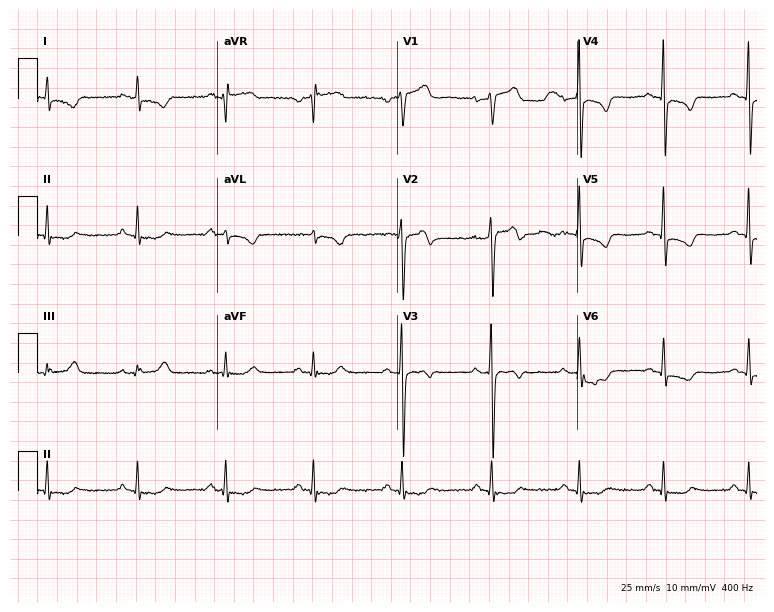
Resting 12-lead electrocardiogram. Patient: a 55-year-old male. None of these six findings is recorded: first-degree AV block, right bundle branch block (RBBB), left bundle branch block (LBBB), sinus bradycardia, atrial fibrillation (AF), sinus tachycardia. Findings outside these six are not listed.